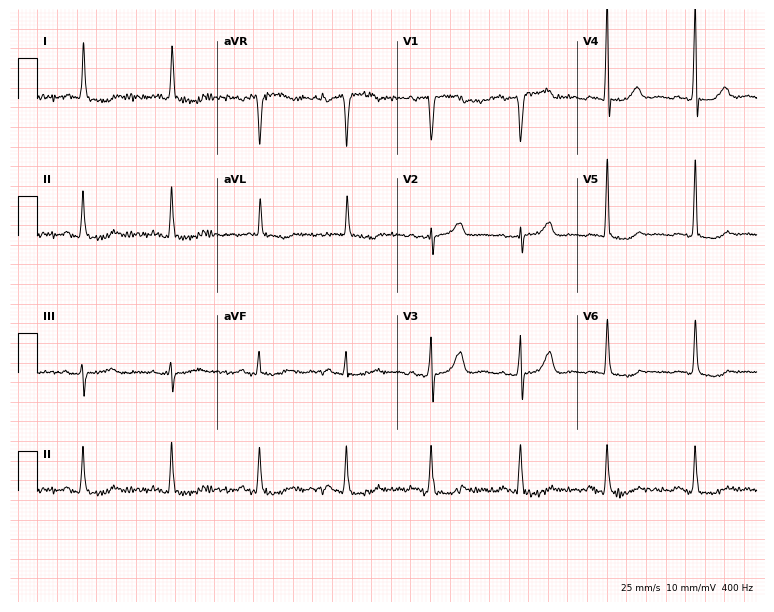
12-lead ECG from a woman, 66 years old. No first-degree AV block, right bundle branch block, left bundle branch block, sinus bradycardia, atrial fibrillation or sinus tachycardia recorded for this tracing. Only these six findings were labelled.